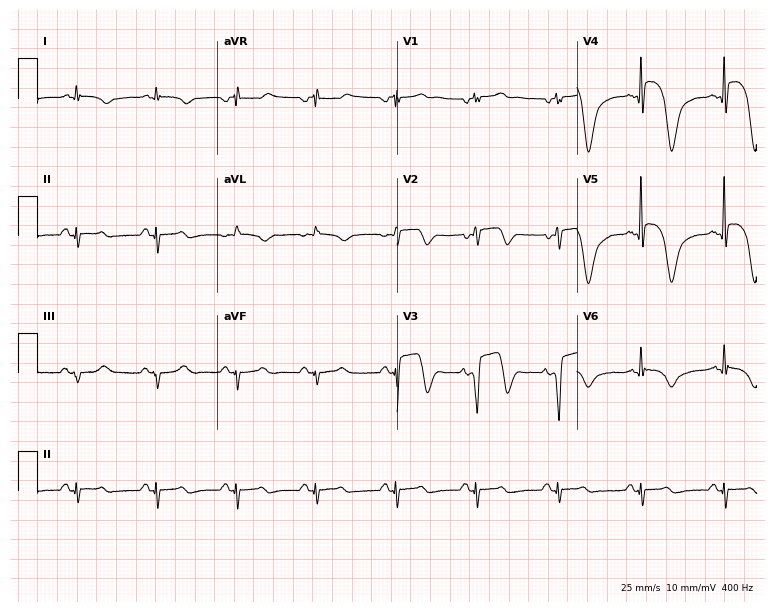
Standard 12-lead ECG recorded from a male, 76 years old. None of these six findings is recorded: first-degree AV block, right bundle branch block (RBBB), left bundle branch block (LBBB), sinus bradycardia, atrial fibrillation (AF), sinus tachycardia. Other findings, if any, are not listed.